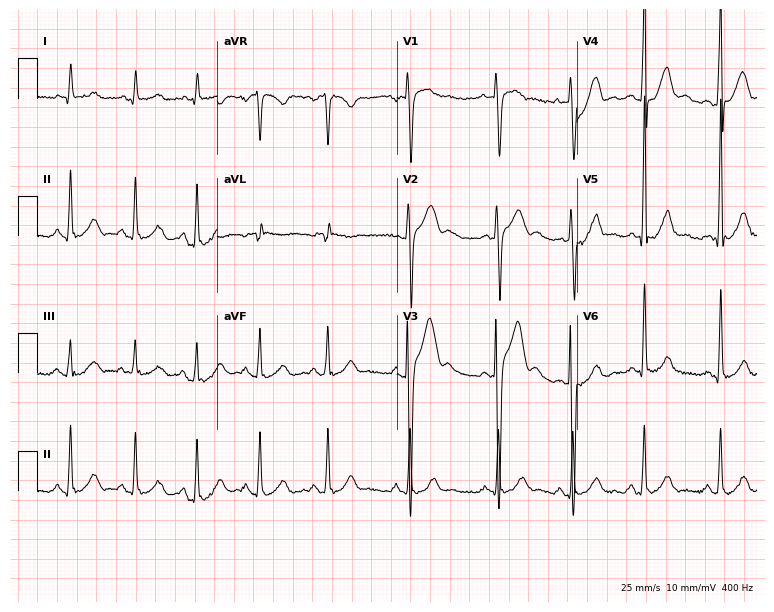
Resting 12-lead electrocardiogram. Patient: a male, 24 years old. Read as a normal ECG.